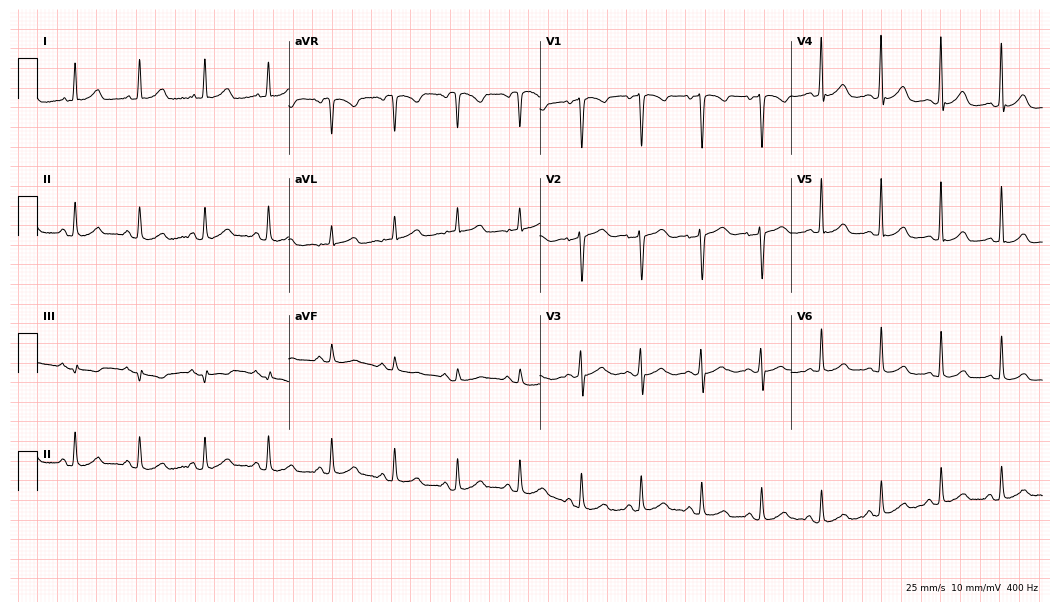
ECG — a 35-year-old female patient. Screened for six findings — first-degree AV block, right bundle branch block, left bundle branch block, sinus bradycardia, atrial fibrillation, sinus tachycardia — none is recorded.